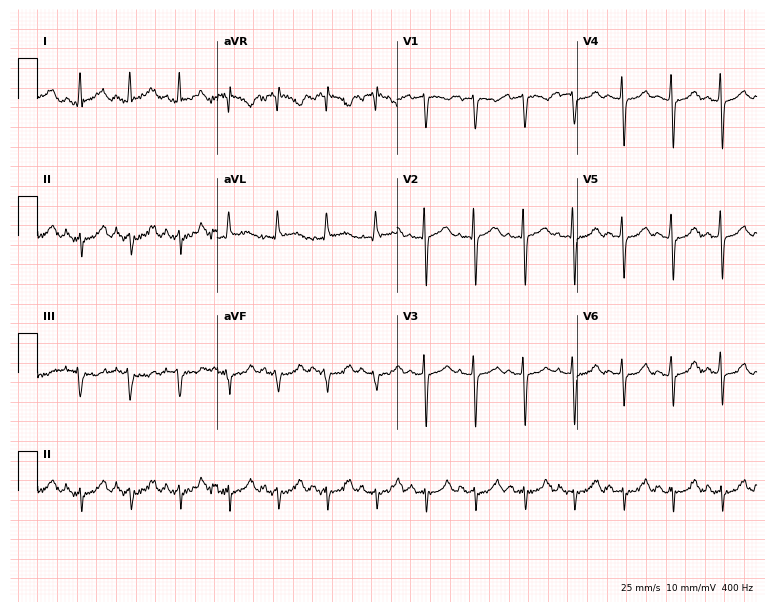
Standard 12-lead ECG recorded from a 72-year-old female (7.3-second recording at 400 Hz). The tracing shows sinus tachycardia (a sinus rate of 100 beats per minute or more).